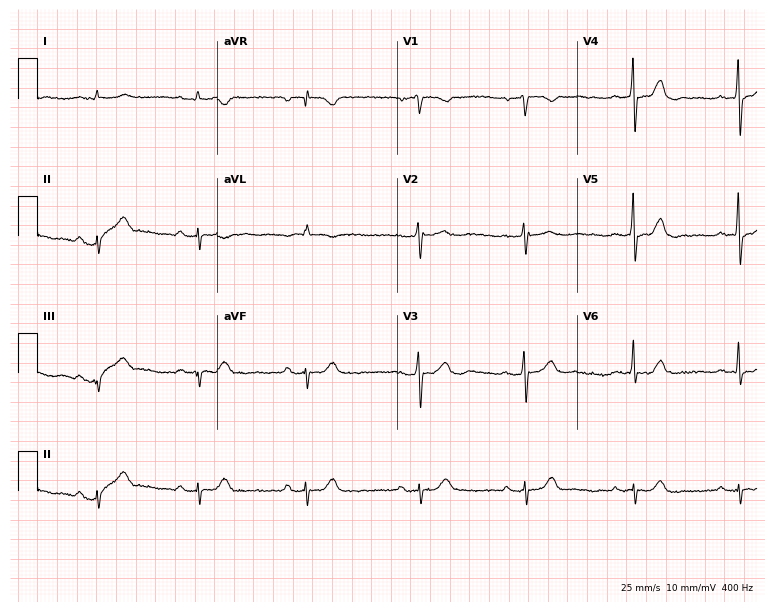
Electrocardiogram, a 74-year-old male. Of the six screened findings (first-degree AV block, right bundle branch block, left bundle branch block, sinus bradycardia, atrial fibrillation, sinus tachycardia), none is recorded. Other findings, if any, are not listed.